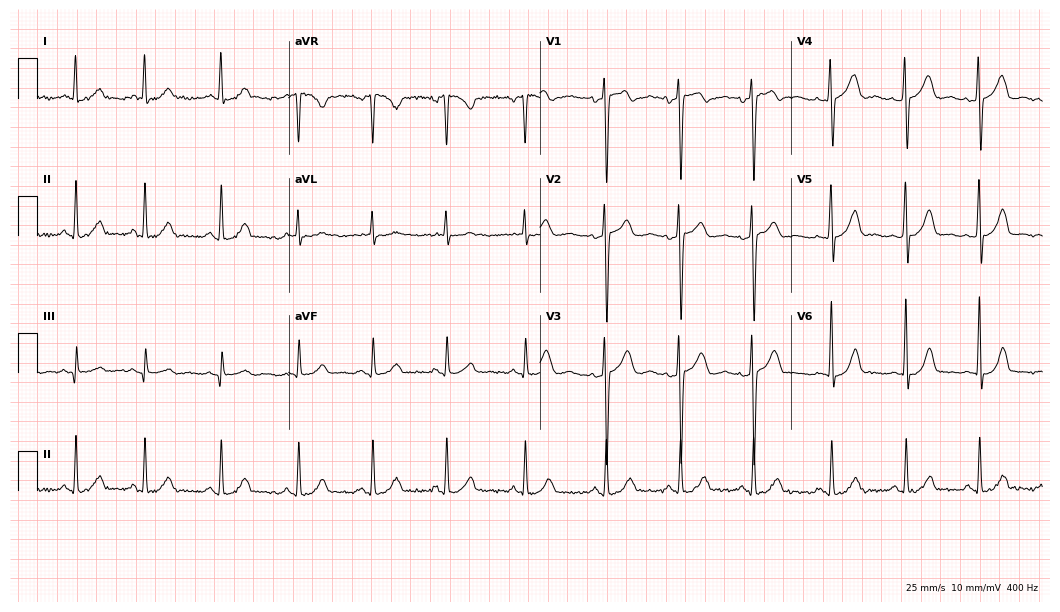
12-lead ECG from a 24-year-old female. Screened for six findings — first-degree AV block, right bundle branch block (RBBB), left bundle branch block (LBBB), sinus bradycardia, atrial fibrillation (AF), sinus tachycardia — none is recorded. Only these six findings were labelled.